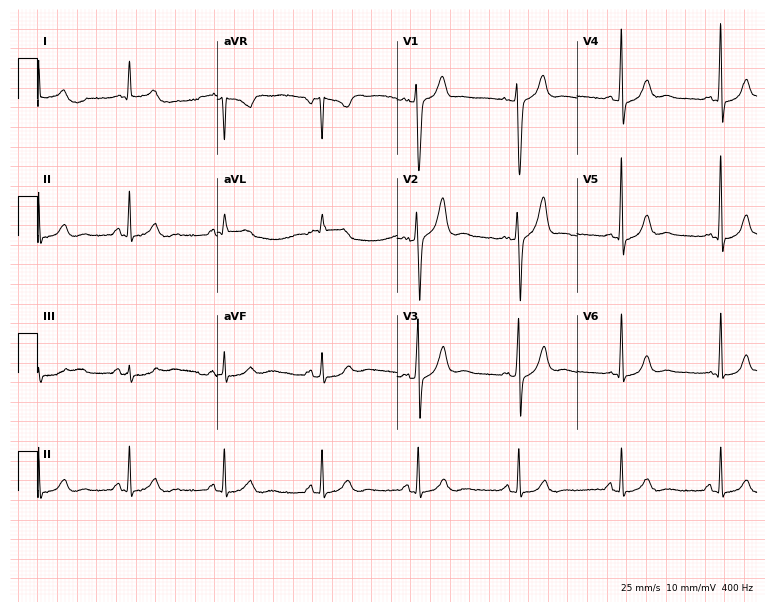
ECG — a male, 52 years old. Labelled as a normal ECG.